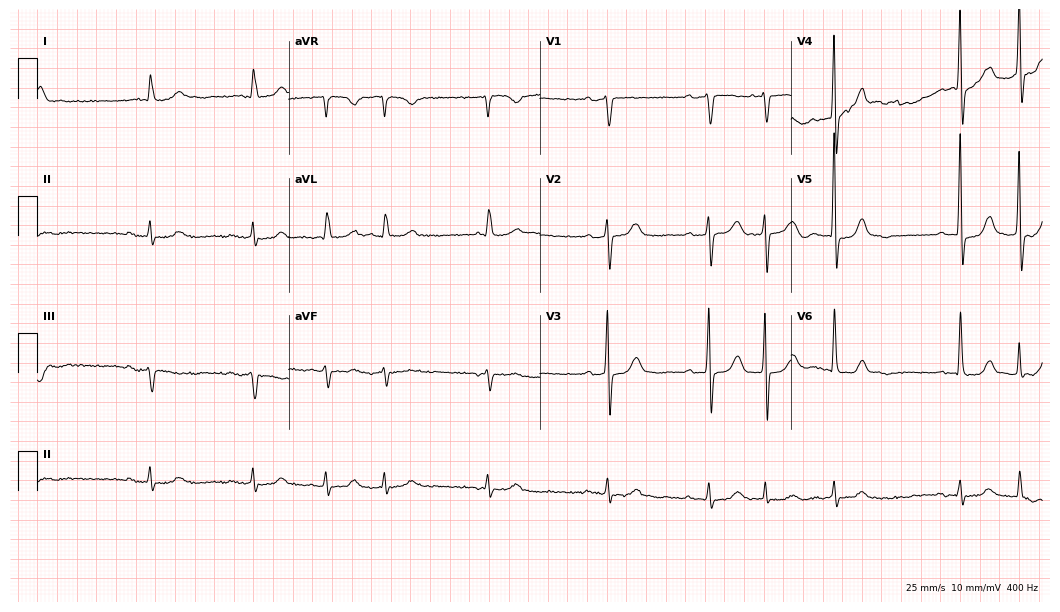
Electrocardiogram (10.2-second recording at 400 Hz), a male patient, 83 years old. Of the six screened findings (first-degree AV block, right bundle branch block (RBBB), left bundle branch block (LBBB), sinus bradycardia, atrial fibrillation (AF), sinus tachycardia), none is recorded.